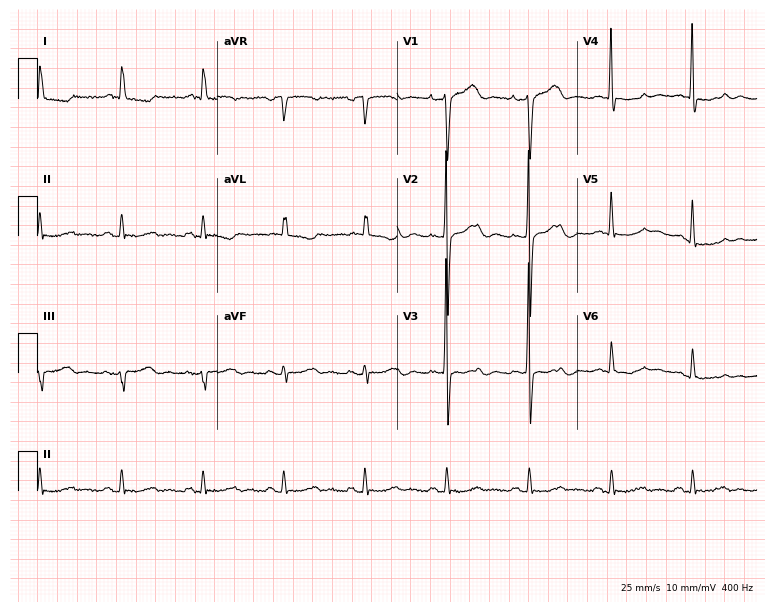
ECG (7.3-second recording at 400 Hz) — a female, 82 years old. Screened for six findings — first-degree AV block, right bundle branch block (RBBB), left bundle branch block (LBBB), sinus bradycardia, atrial fibrillation (AF), sinus tachycardia — none is recorded.